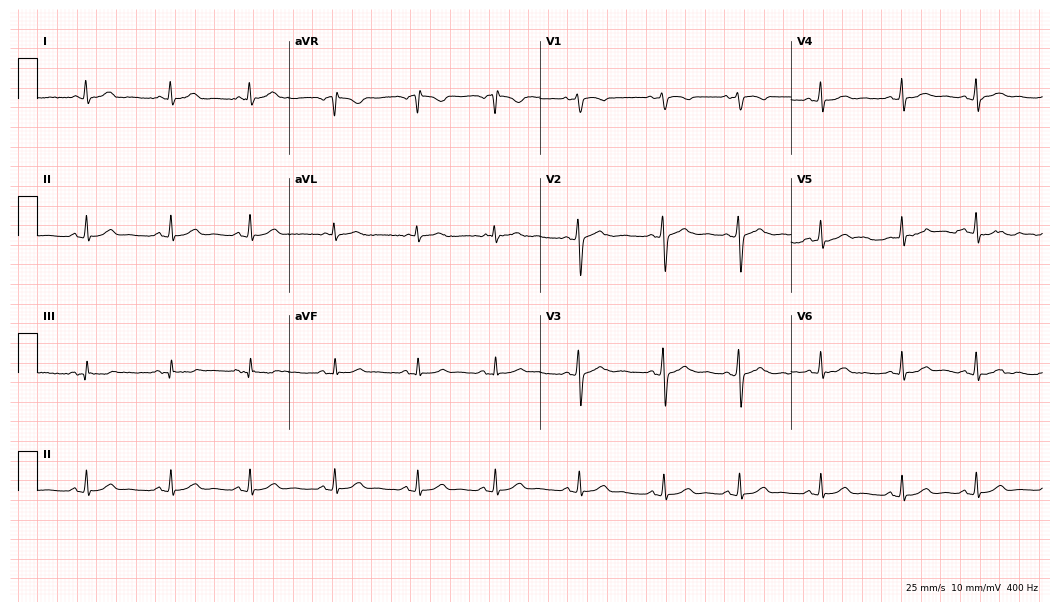
ECG — a woman, 31 years old. Labelled as a normal ECG.